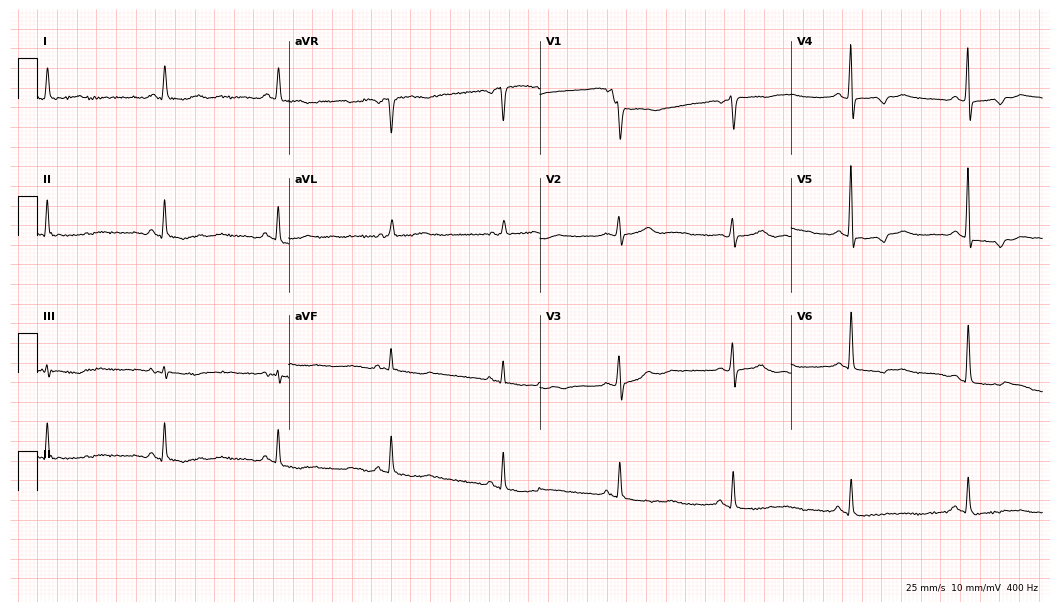
12-lead ECG (10.2-second recording at 400 Hz) from a woman, 73 years old. Screened for six findings — first-degree AV block, right bundle branch block (RBBB), left bundle branch block (LBBB), sinus bradycardia, atrial fibrillation (AF), sinus tachycardia — none is recorded. Only these six findings were labelled.